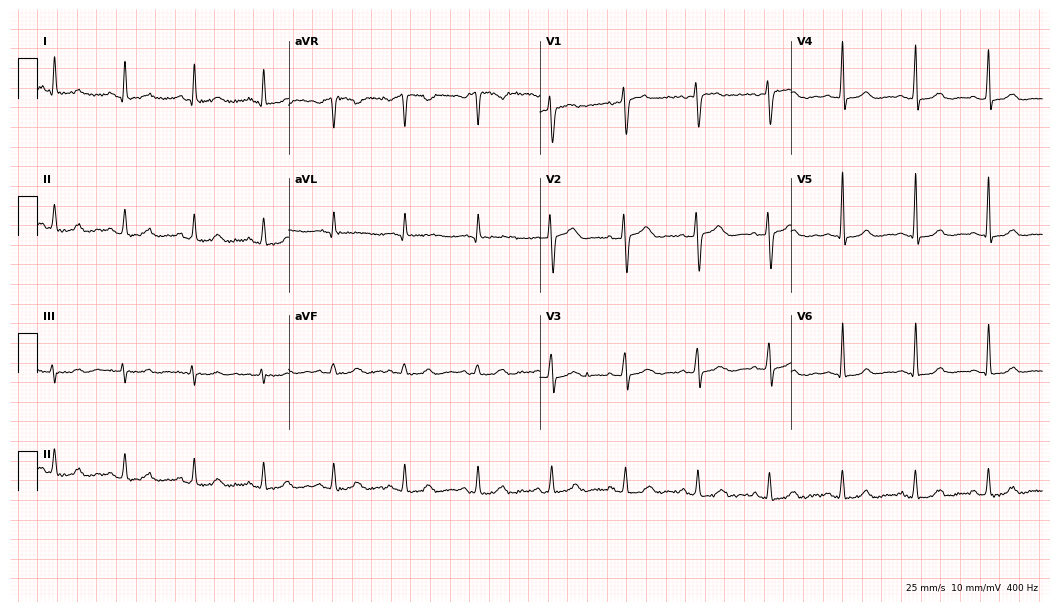
Standard 12-lead ECG recorded from a 41-year-old woman (10.2-second recording at 400 Hz). Read as a normal ECG.